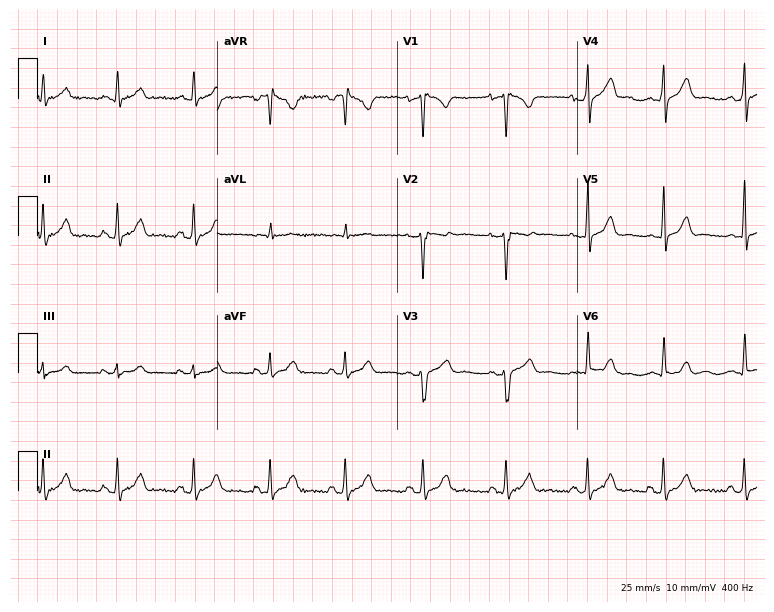
Resting 12-lead electrocardiogram (7.3-second recording at 400 Hz). Patient: a 29-year-old female. None of these six findings is recorded: first-degree AV block, right bundle branch block (RBBB), left bundle branch block (LBBB), sinus bradycardia, atrial fibrillation (AF), sinus tachycardia.